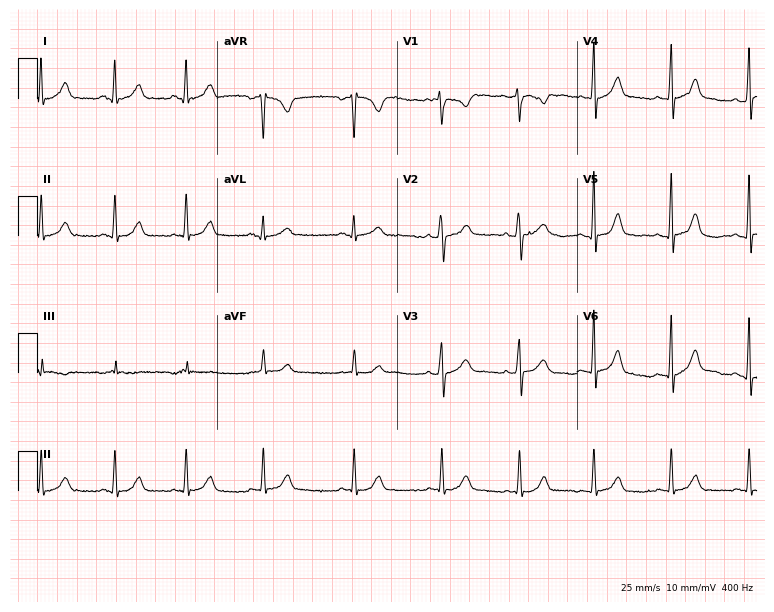
Standard 12-lead ECG recorded from a 23-year-old female. Read as a normal ECG.